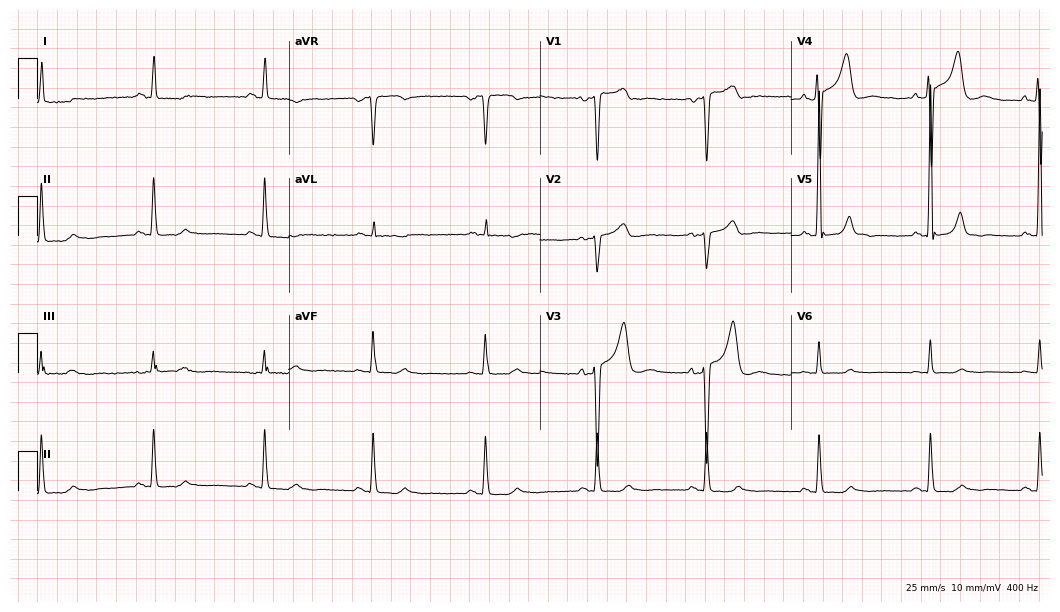
12-lead ECG from a male patient, 60 years old. No first-degree AV block, right bundle branch block (RBBB), left bundle branch block (LBBB), sinus bradycardia, atrial fibrillation (AF) or sinus tachycardia recorded for this tracing.